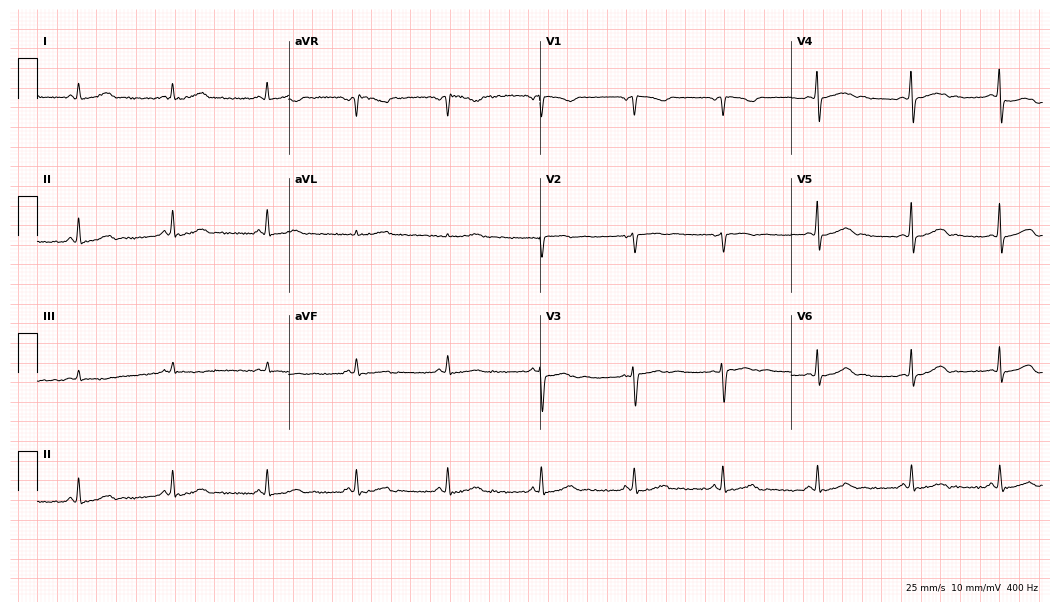
12-lead ECG (10.2-second recording at 400 Hz) from a female patient, 27 years old. Labelled as a normal ECG.